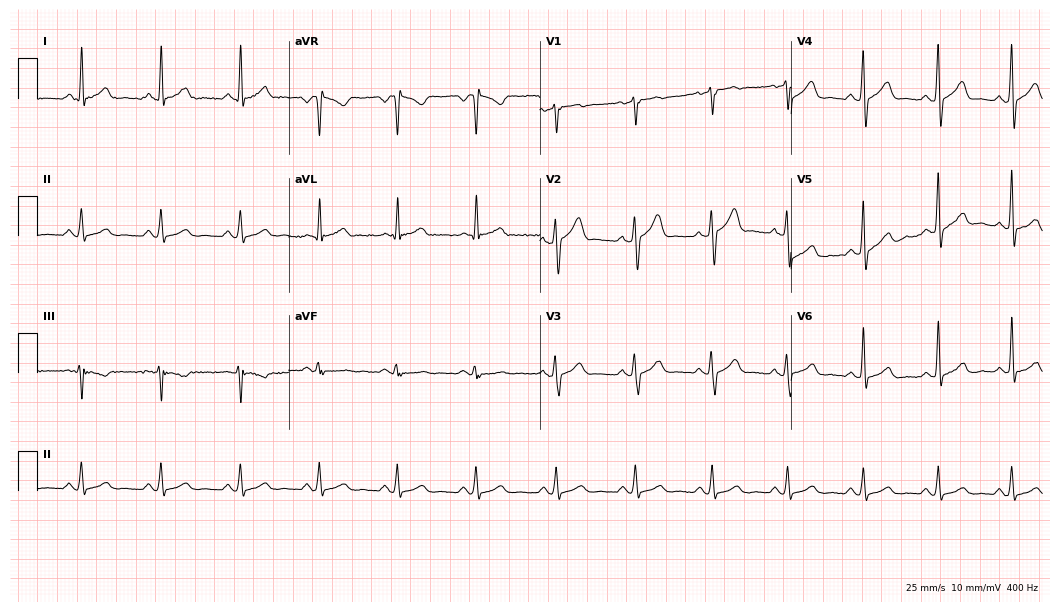
Electrocardiogram, a 41-year-old male patient. Overall reading on record: normal ECG.